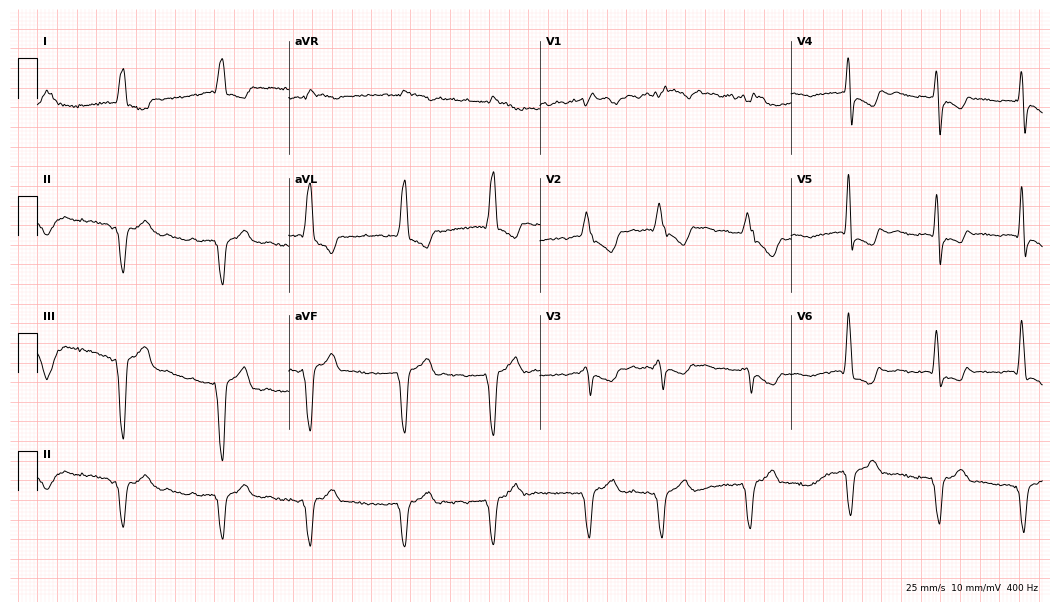
ECG (10.2-second recording at 400 Hz) — a 78-year-old female. Findings include right bundle branch block, atrial fibrillation.